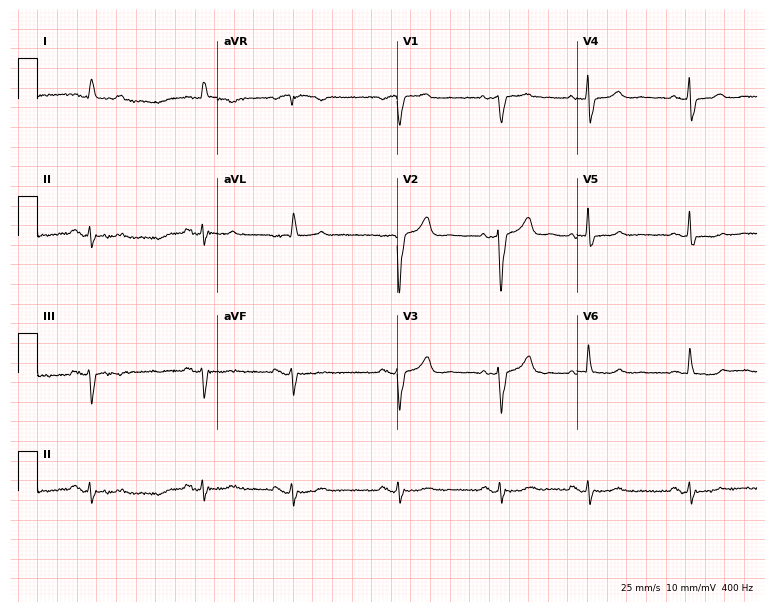
ECG (7.3-second recording at 400 Hz) — a female, 80 years old. Screened for six findings — first-degree AV block, right bundle branch block, left bundle branch block, sinus bradycardia, atrial fibrillation, sinus tachycardia — none is recorded.